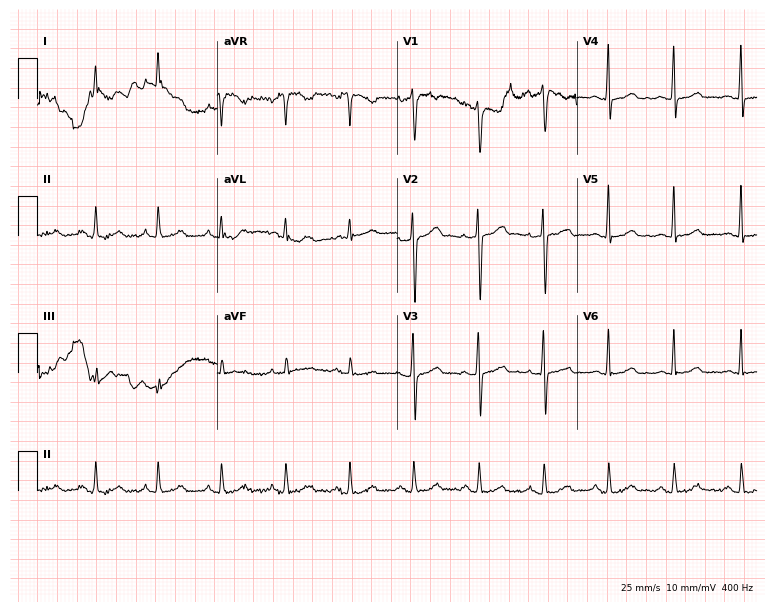
Electrocardiogram, a male, 40 years old. Overall reading on record: normal ECG.